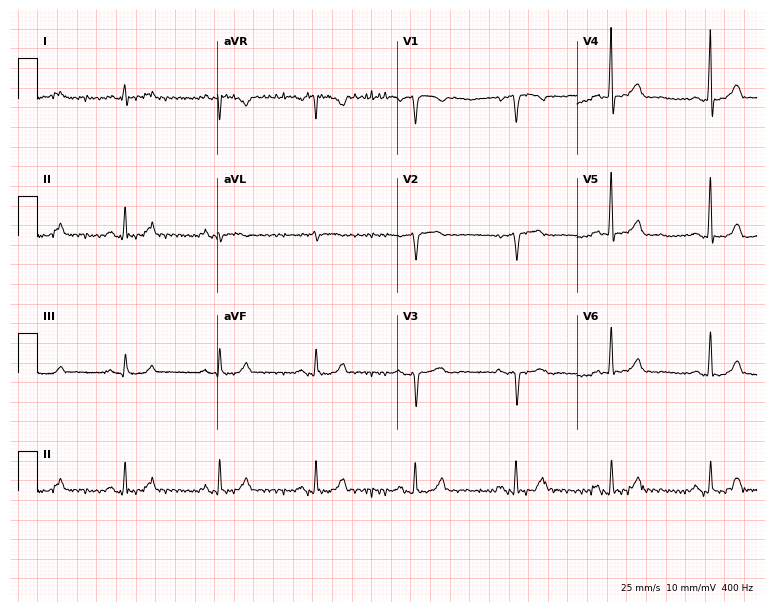
12-lead ECG (7.3-second recording at 400 Hz) from a female patient, 66 years old. Labelled as a normal ECG.